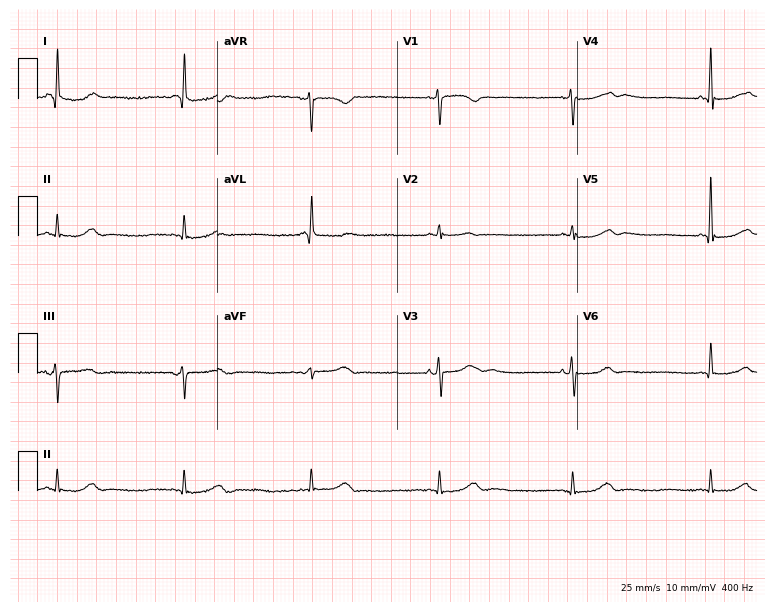
Standard 12-lead ECG recorded from a woman, 55 years old. None of these six findings is recorded: first-degree AV block, right bundle branch block, left bundle branch block, sinus bradycardia, atrial fibrillation, sinus tachycardia.